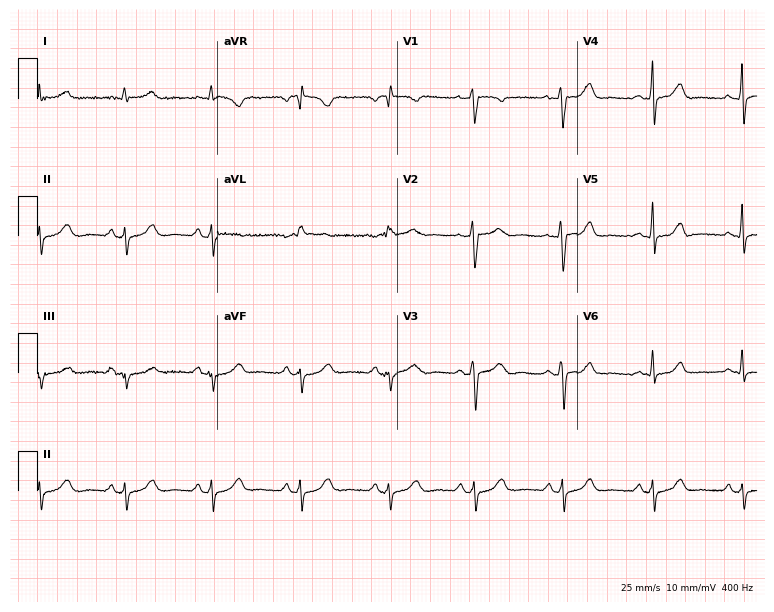
Standard 12-lead ECG recorded from a female, 44 years old (7.3-second recording at 400 Hz). Read as a normal ECG.